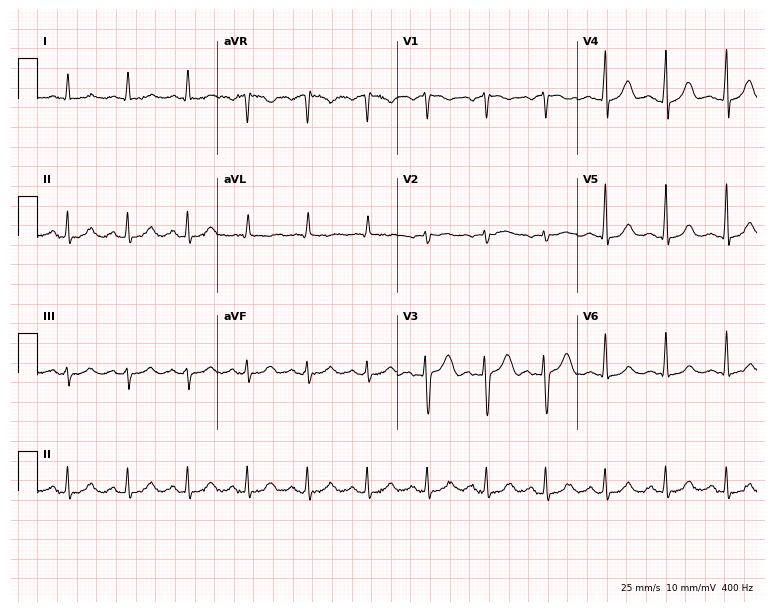
ECG (7.3-second recording at 400 Hz) — a male, 63 years old. Screened for six findings — first-degree AV block, right bundle branch block, left bundle branch block, sinus bradycardia, atrial fibrillation, sinus tachycardia — none is recorded.